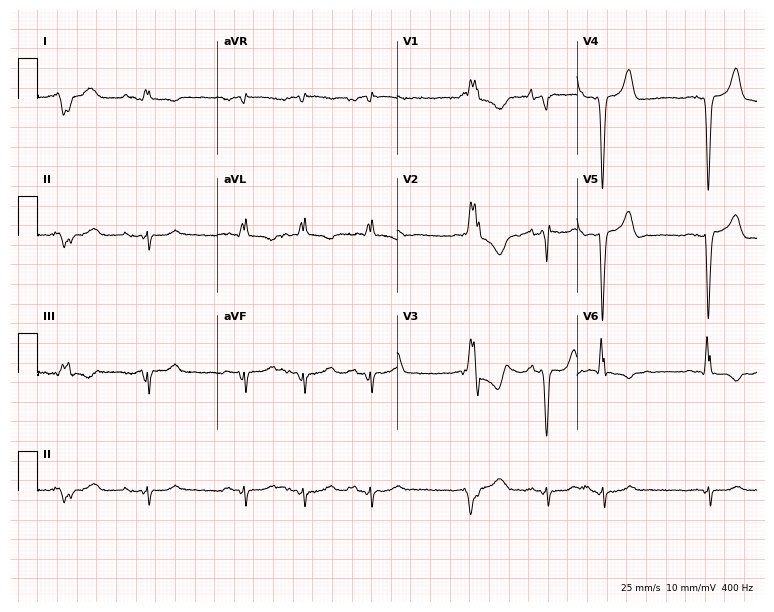
12-lead ECG from a man, 58 years old. Shows first-degree AV block, right bundle branch block (RBBB).